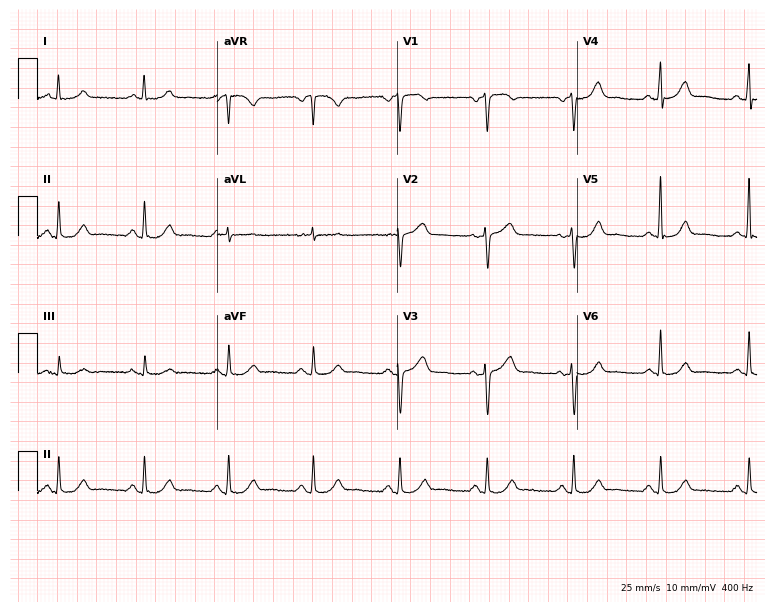
12-lead ECG from a 66-year-old man. Recorded interpretation: within normal limits.